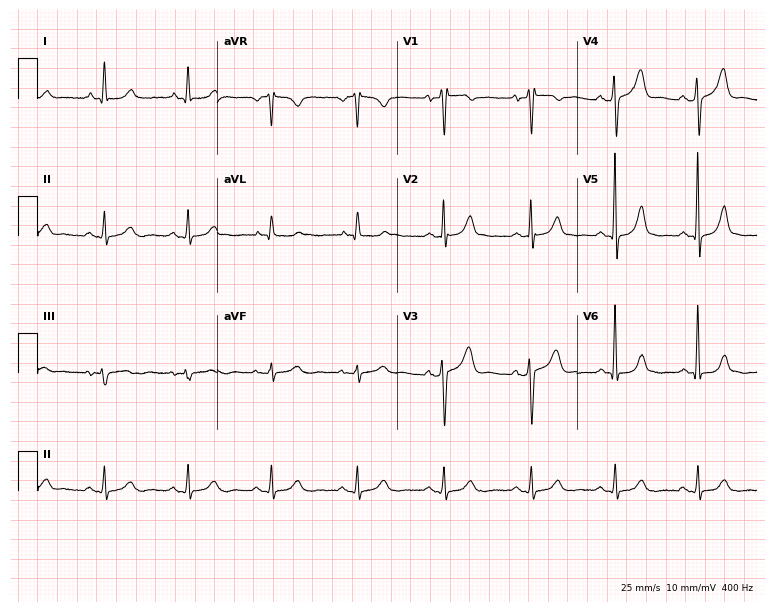
12-lead ECG from a female, 50 years old. Recorded interpretation: within normal limits.